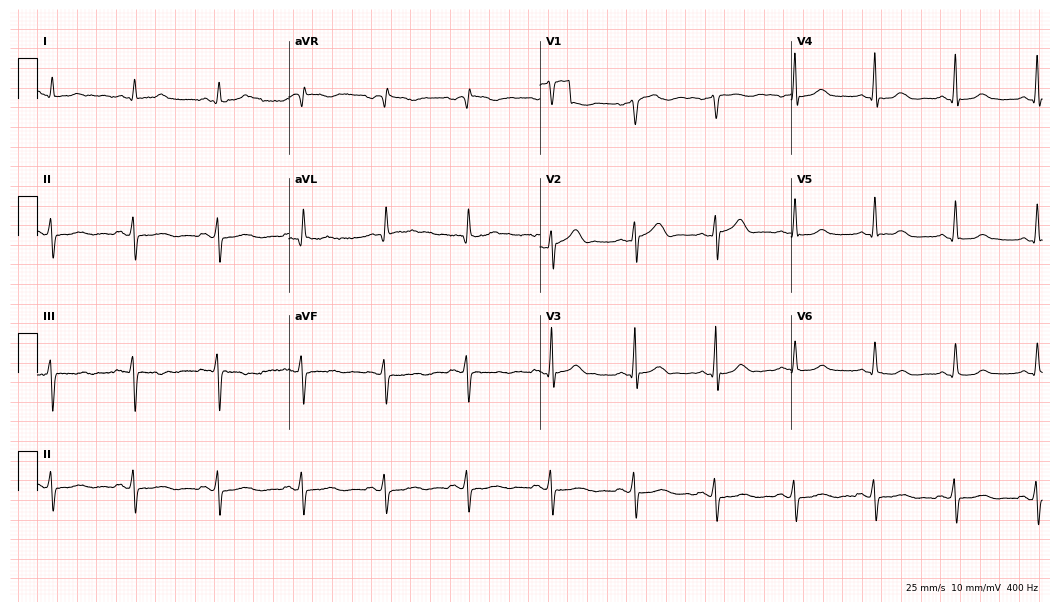
12-lead ECG from a 53-year-old male patient. No first-degree AV block, right bundle branch block (RBBB), left bundle branch block (LBBB), sinus bradycardia, atrial fibrillation (AF) or sinus tachycardia recorded for this tracing. Findings outside these six are not listed.